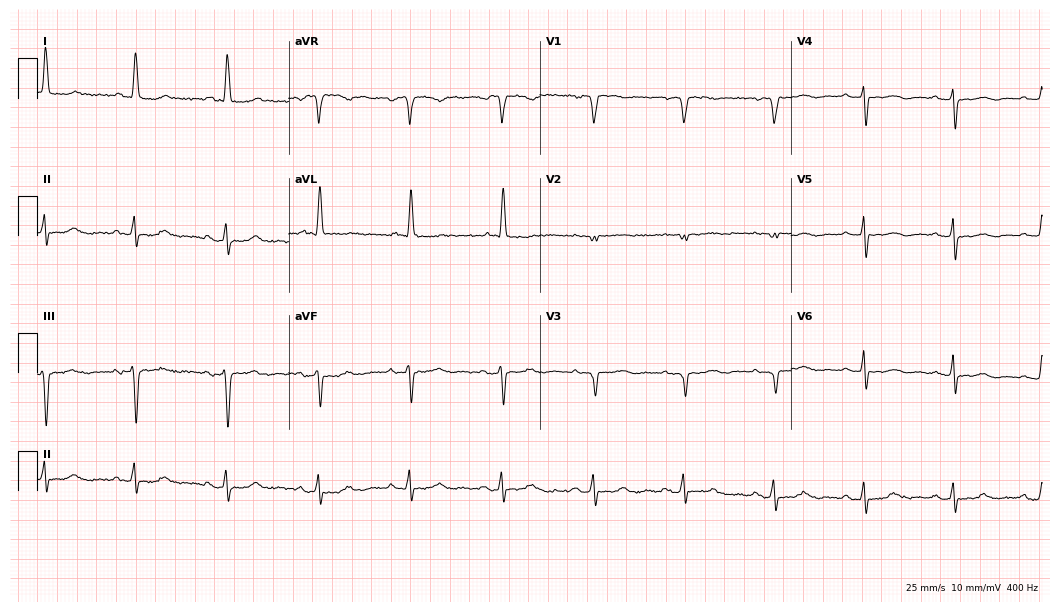
Resting 12-lead electrocardiogram (10.2-second recording at 400 Hz). Patient: a 76-year-old female. None of these six findings is recorded: first-degree AV block, right bundle branch block, left bundle branch block, sinus bradycardia, atrial fibrillation, sinus tachycardia. Findings outside these six are not listed.